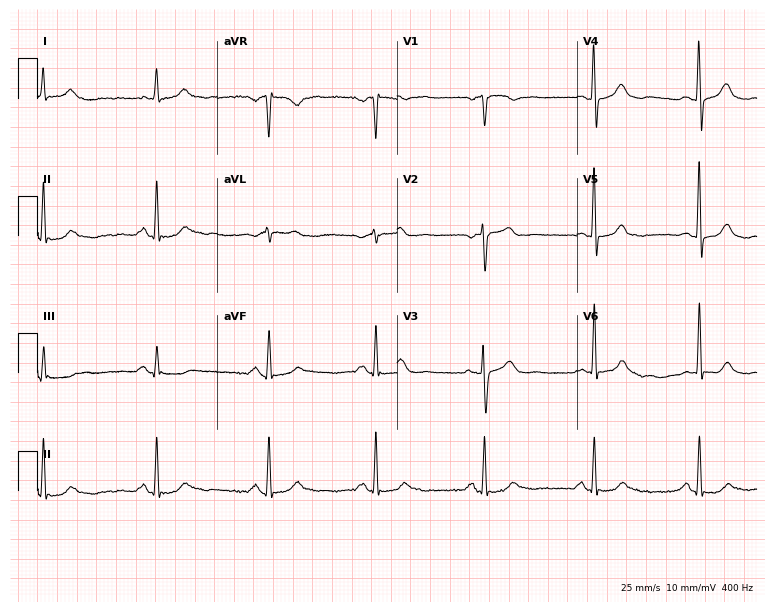
ECG (7.3-second recording at 400 Hz) — a female patient, 68 years old. Labelled as a normal ECG.